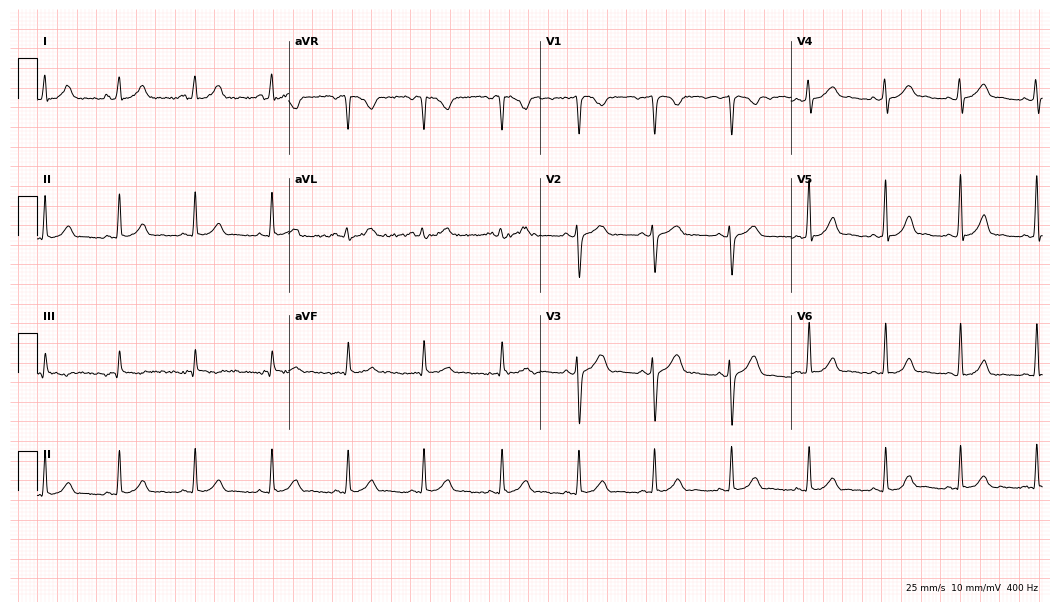
12-lead ECG (10.2-second recording at 400 Hz) from a woman, 25 years old. Labelled as a normal ECG.